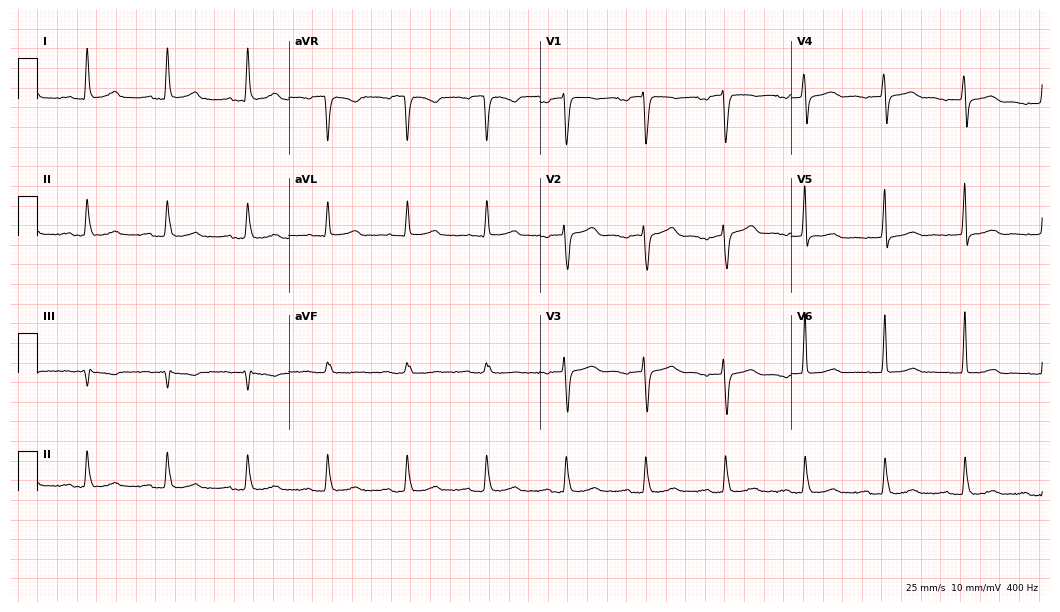
Standard 12-lead ECG recorded from a 56-year-old woman. None of these six findings is recorded: first-degree AV block, right bundle branch block, left bundle branch block, sinus bradycardia, atrial fibrillation, sinus tachycardia. Other findings, if any, are not listed.